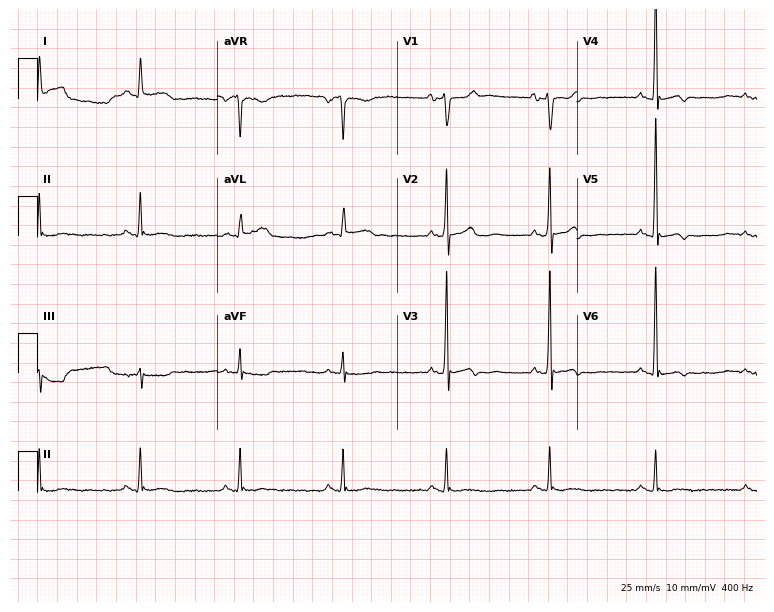
Resting 12-lead electrocardiogram (7.3-second recording at 400 Hz). Patient: a male, 43 years old. None of these six findings is recorded: first-degree AV block, right bundle branch block, left bundle branch block, sinus bradycardia, atrial fibrillation, sinus tachycardia.